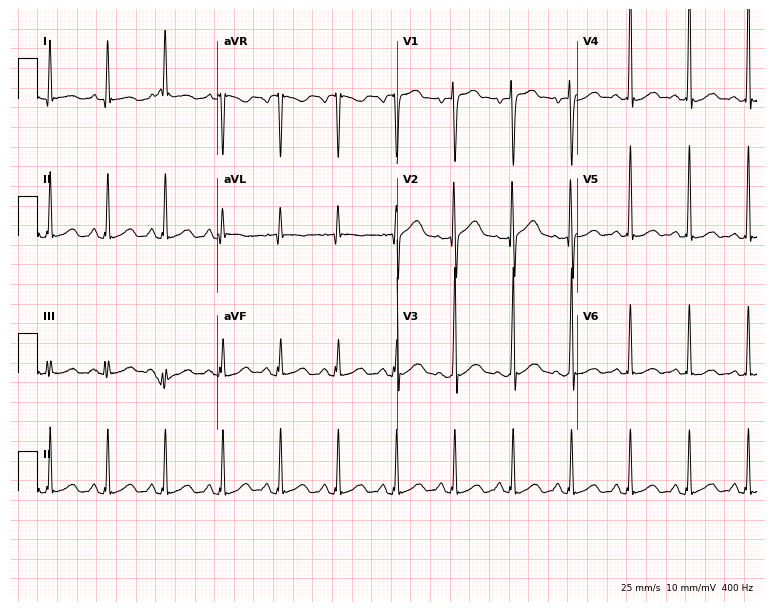
Electrocardiogram (7.3-second recording at 400 Hz), a man, 25 years old. Of the six screened findings (first-degree AV block, right bundle branch block, left bundle branch block, sinus bradycardia, atrial fibrillation, sinus tachycardia), none is recorded. Only these six findings were labelled.